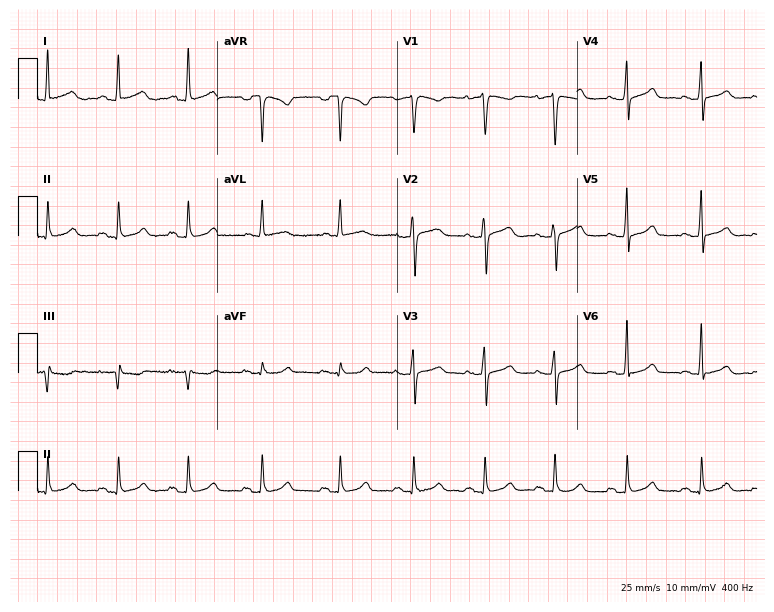
Standard 12-lead ECG recorded from a female, 39 years old. Read as a normal ECG.